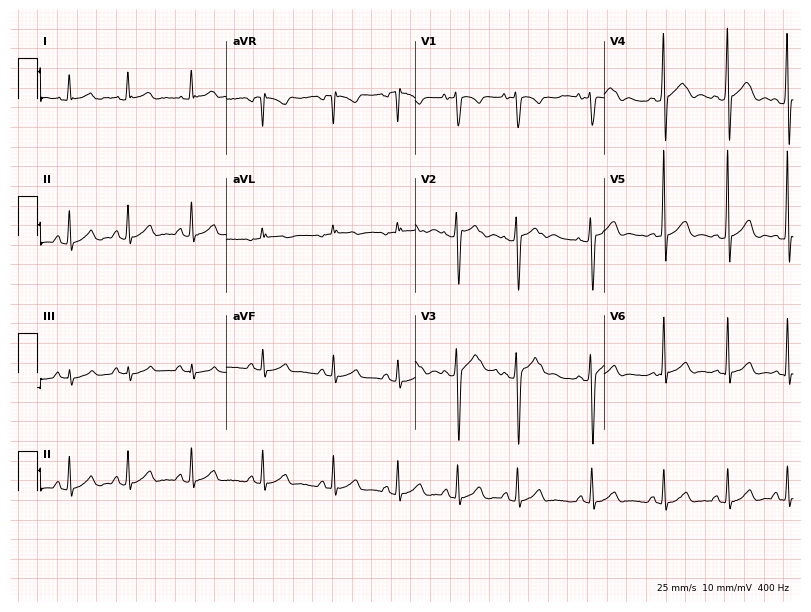
12-lead ECG from a 26-year-old man (7.7-second recording at 400 Hz). No first-degree AV block, right bundle branch block, left bundle branch block, sinus bradycardia, atrial fibrillation or sinus tachycardia recorded for this tracing. Findings outside these six are not listed.